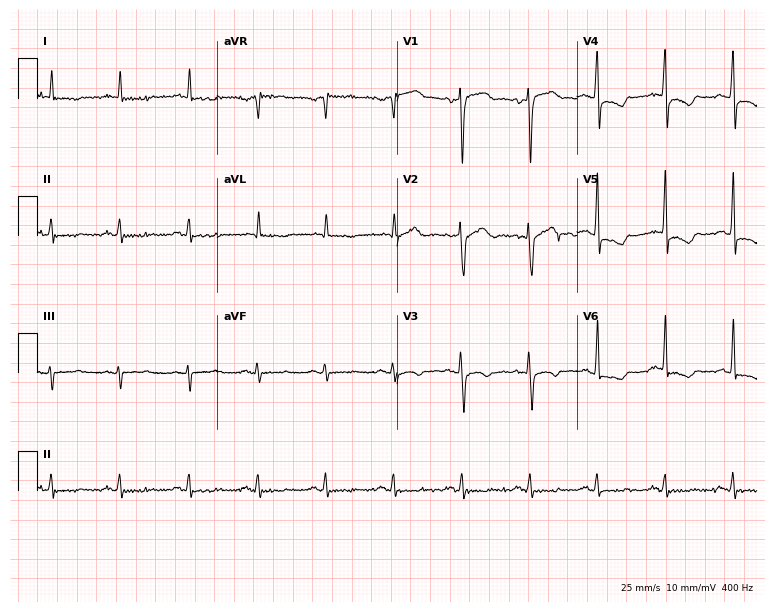
Resting 12-lead electrocardiogram (7.3-second recording at 400 Hz). Patient: a 56-year-old man. None of these six findings is recorded: first-degree AV block, right bundle branch block, left bundle branch block, sinus bradycardia, atrial fibrillation, sinus tachycardia. Findings outside these six are not listed.